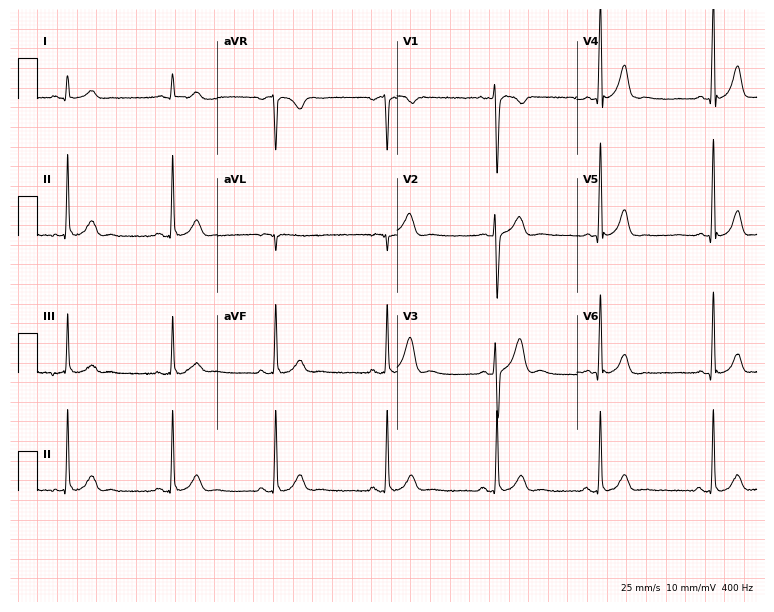
Standard 12-lead ECG recorded from a 31-year-old male patient (7.3-second recording at 400 Hz). Read as a normal ECG.